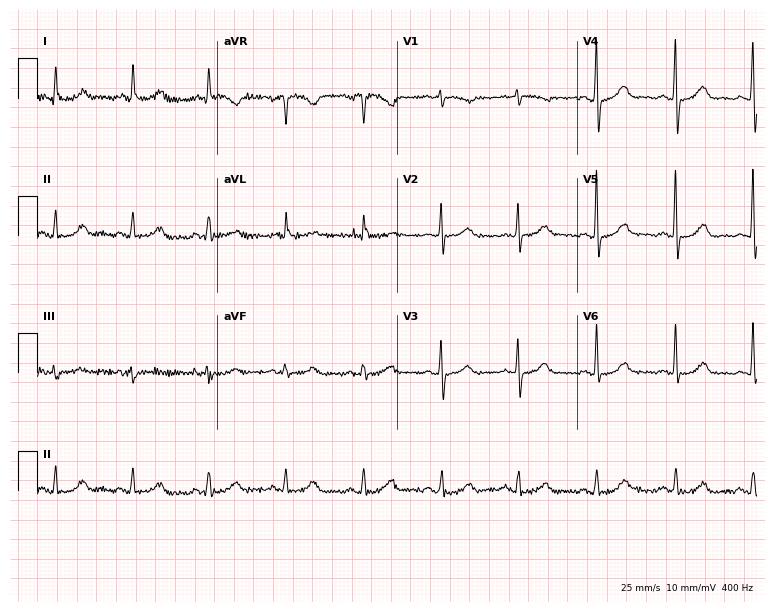
ECG (7.3-second recording at 400 Hz) — a female patient, 81 years old. Labelled as a normal ECG.